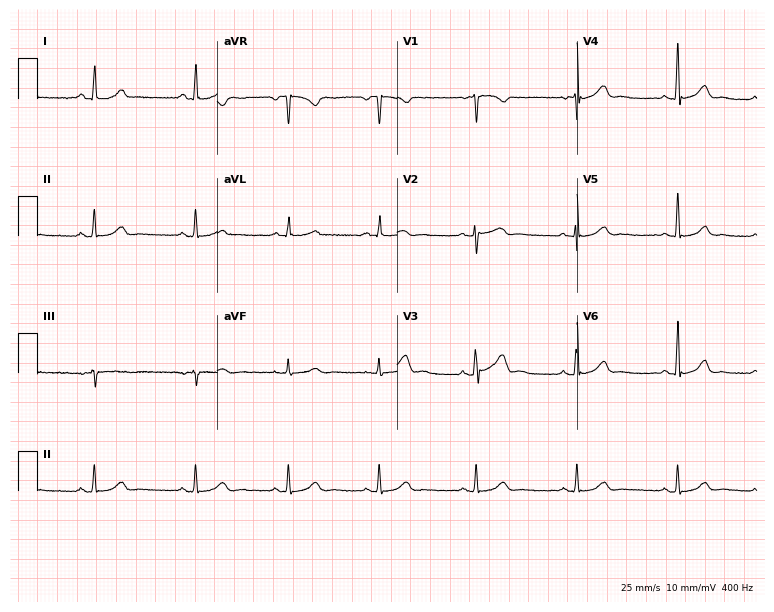
ECG (7.3-second recording at 400 Hz) — a 38-year-old female. Screened for six findings — first-degree AV block, right bundle branch block, left bundle branch block, sinus bradycardia, atrial fibrillation, sinus tachycardia — none is recorded. Only these six findings were labelled.